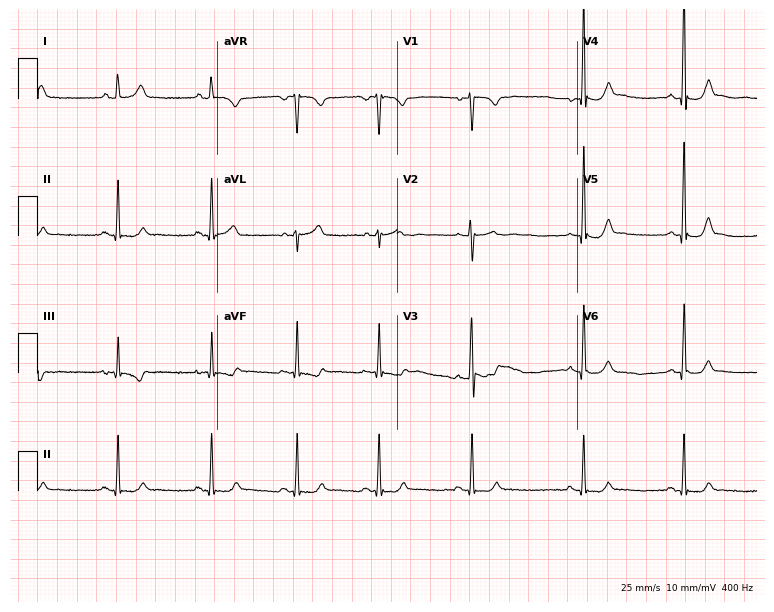
Standard 12-lead ECG recorded from a woman, 28 years old (7.3-second recording at 400 Hz). Read as a normal ECG.